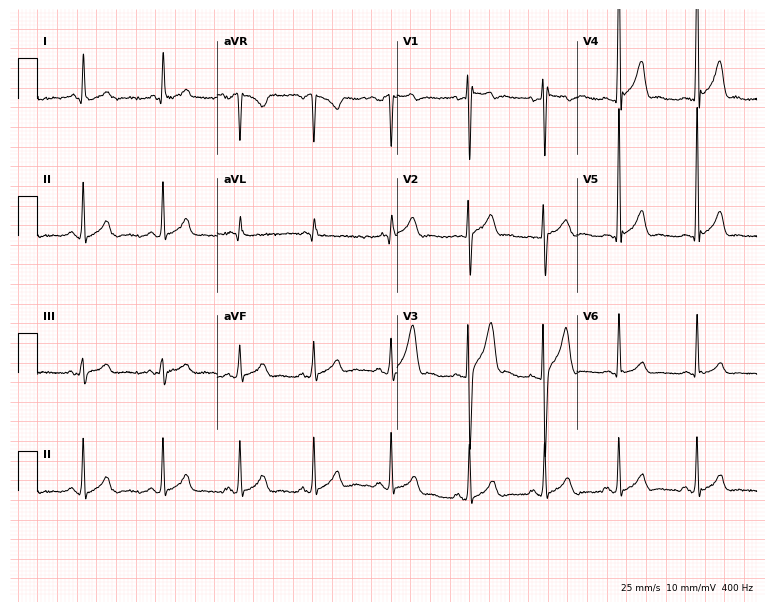
Resting 12-lead electrocardiogram (7.3-second recording at 400 Hz). Patient: a man, 18 years old. None of these six findings is recorded: first-degree AV block, right bundle branch block, left bundle branch block, sinus bradycardia, atrial fibrillation, sinus tachycardia. Only these six findings were labelled.